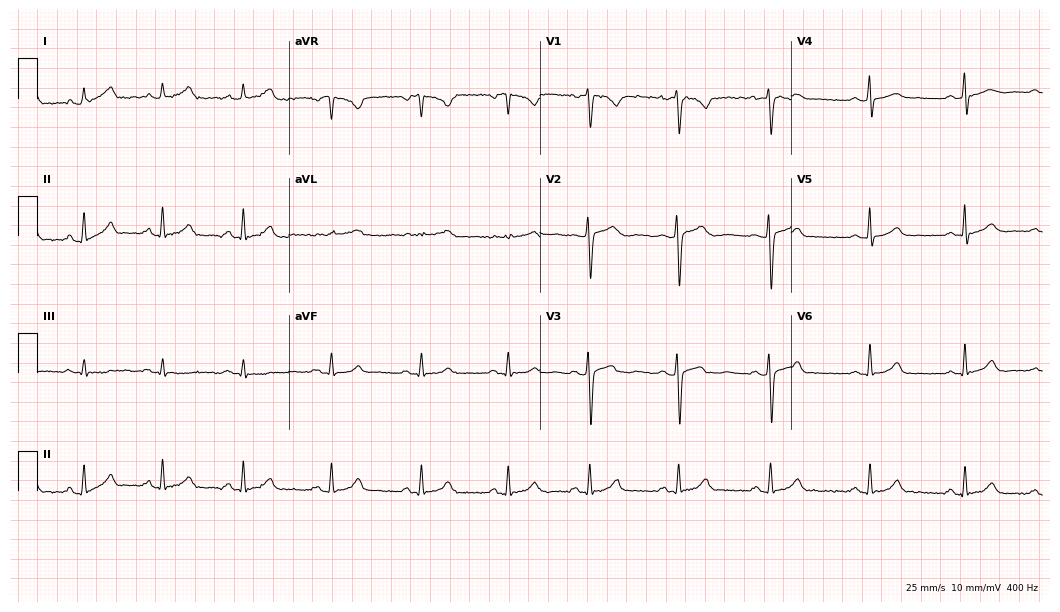
Electrocardiogram, a 32-year-old female. Overall reading on record: normal ECG.